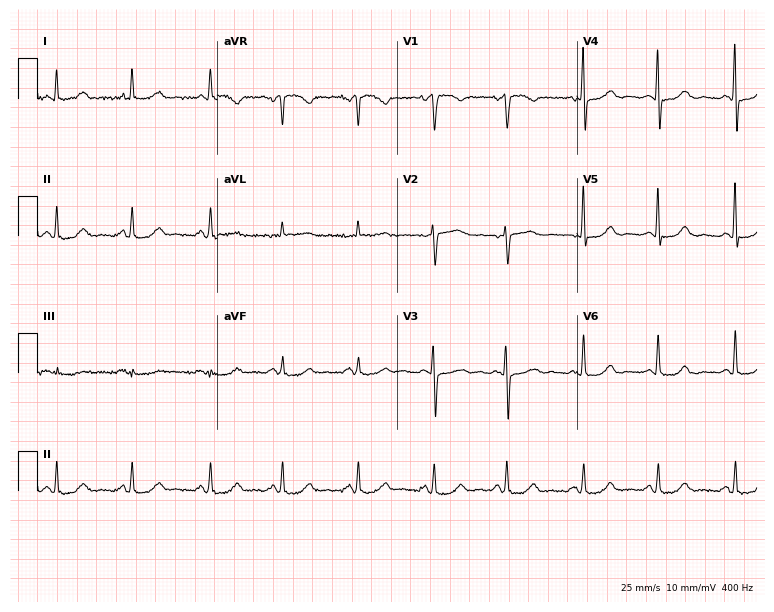
Resting 12-lead electrocardiogram. Patient: a 64-year-old female. Read as a normal ECG.